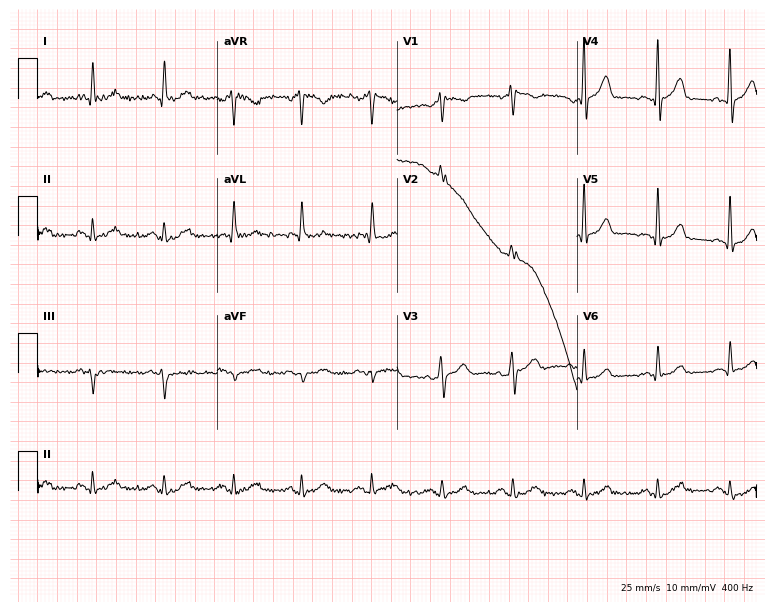
Standard 12-lead ECG recorded from a 59-year-old female patient (7.3-second recording at 400 Hz). None of these six findings is recorded: first-degree AV block, right bundle branch block (RBBB), left bundle branch block (LBBB), sinus bradycardia, atrial fibrillation (AF), sinus tachycardia.